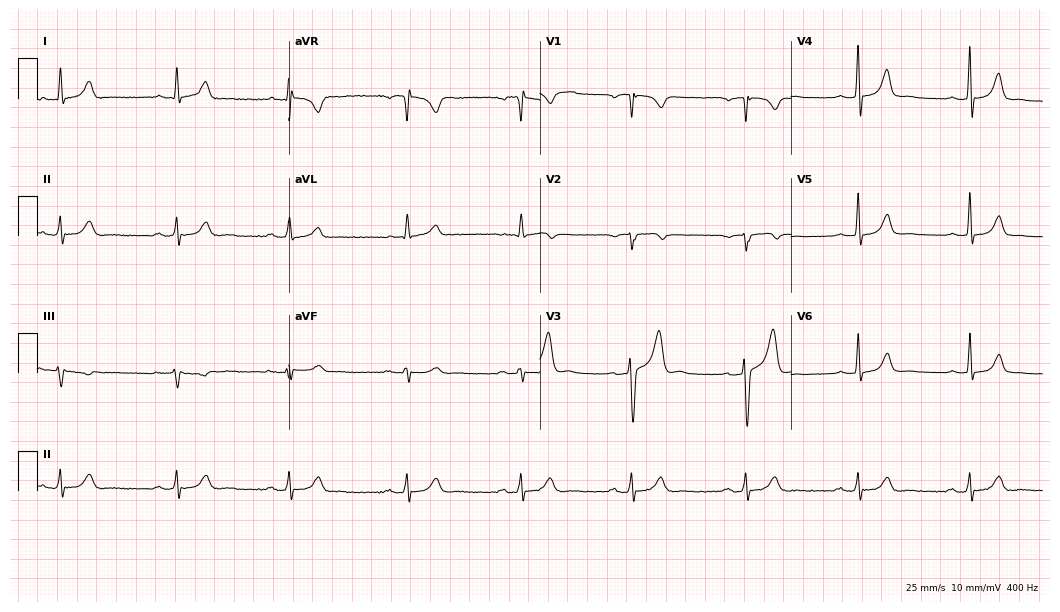
12-lead ECG from a 49-year-old male. Findings include first-degree AV block.